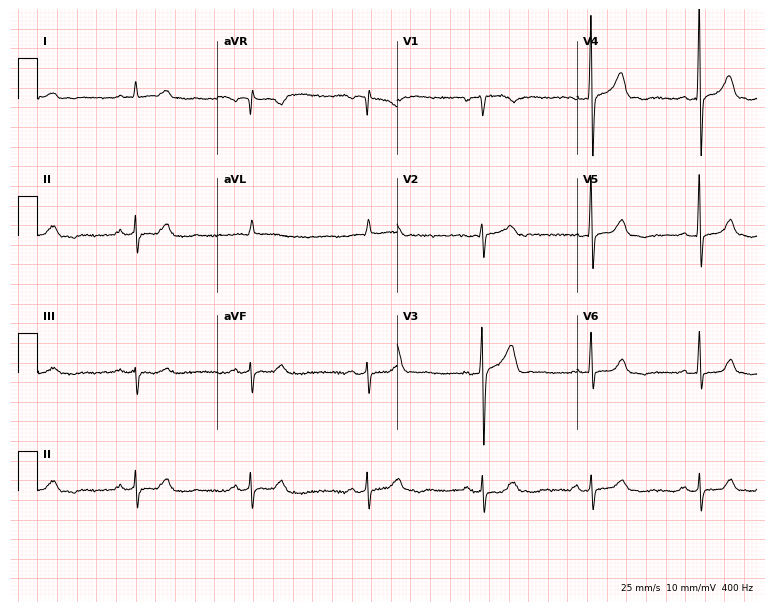
12-lead ECG from a male patient, 72 years old. Screened for six findings — first-degree AV block, right bundle branch block, left bundle branch block, sinus bradycardia, atrial fibrillation, sinus tachycardia — none is recorded.